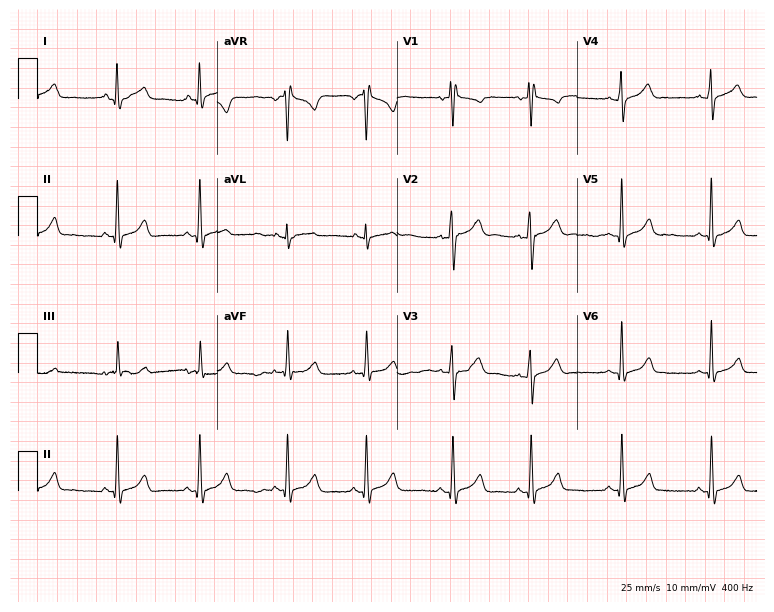
12-lead ECG from a woman, 24 years old. No first-degree AV block, right bundle branch block, left bundle branch block, sinus bradycardia, atrial fibrillation or sinus tachycardia recorded for this tracing. Other findings, if any, are not listed.